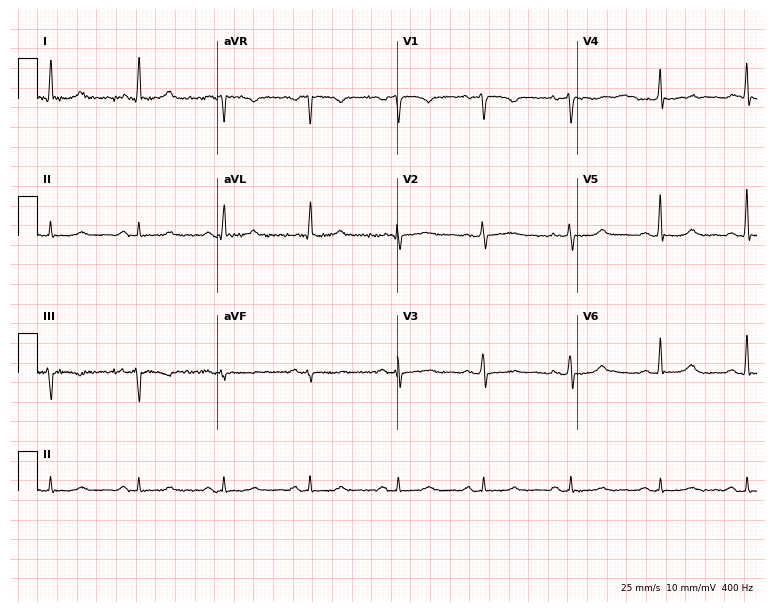
Standard 12-lead ECG recorded from a 62-year-old female (7.3-second recording at 400 Hz). None of these six findings is recorded: first-degree AV block, right bundle branch block, left bundle branch block, sinus bradycardia, atrial fibrillation, sinus tachycardia. Only these six findings were labelled.